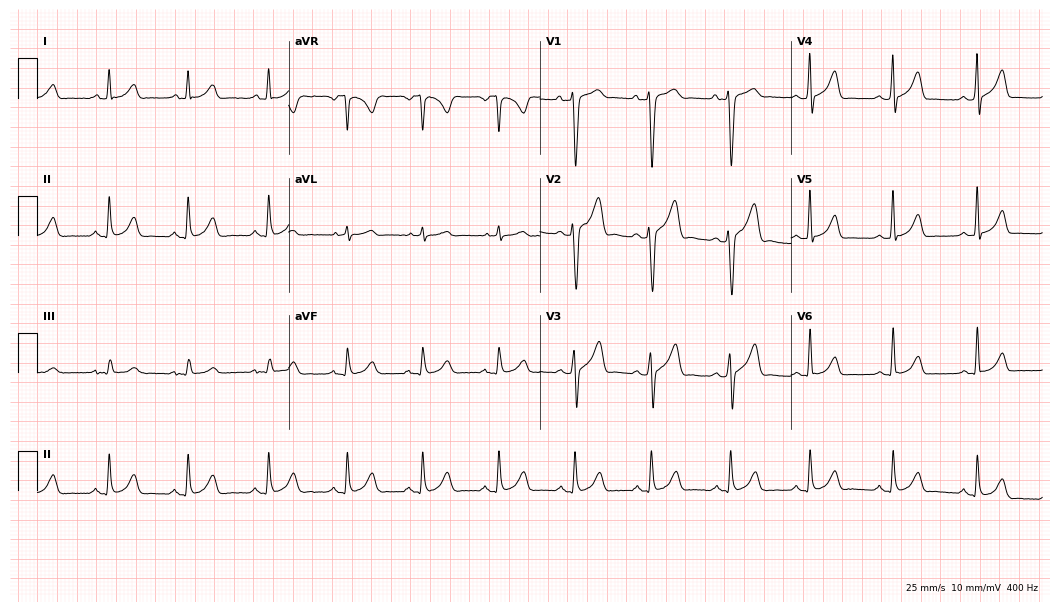
12-lead ECG from a man, 22 years old (10.2-second recording at 400 Hz). Recorded interpretation: within normal limits.